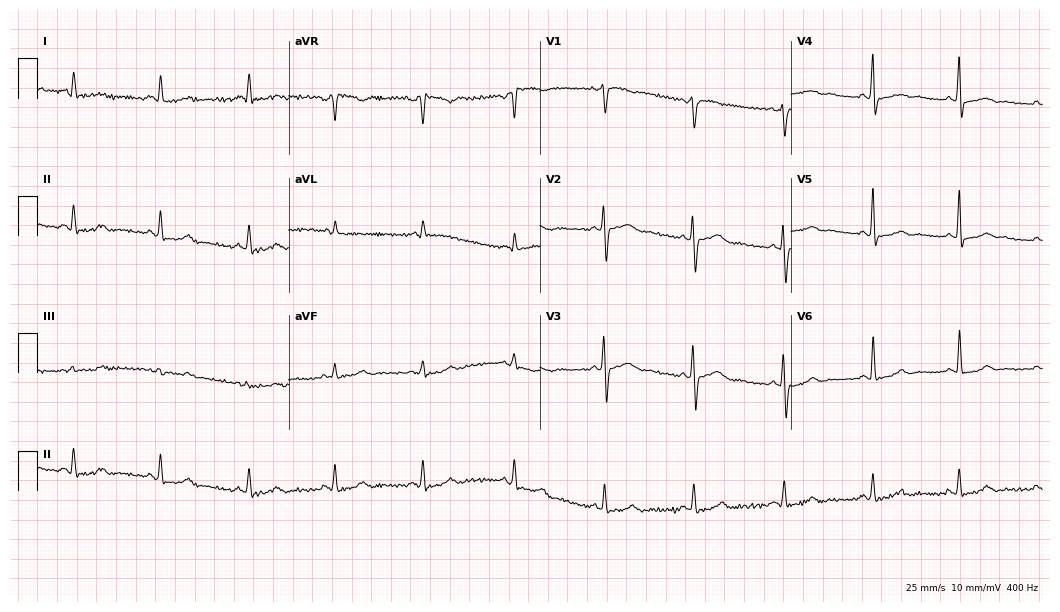
Electrocardiogram (10.2-second recording at 400 Hz), a 36-year-old female. Overall reading on record: normal ECG.